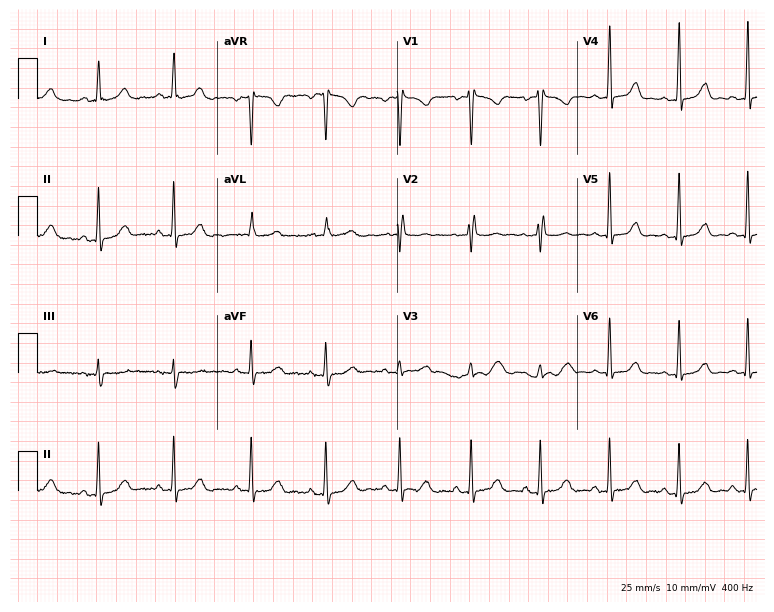
12-lead ECG from a 34-year-old female patient. Screened for six findings — first-degree AV block, right bundle branch block, left bundle branch block, sinus bradycardia, atrial fibrillation, sinus tachycardia — none is recorded. Findings outside these six are not listed.